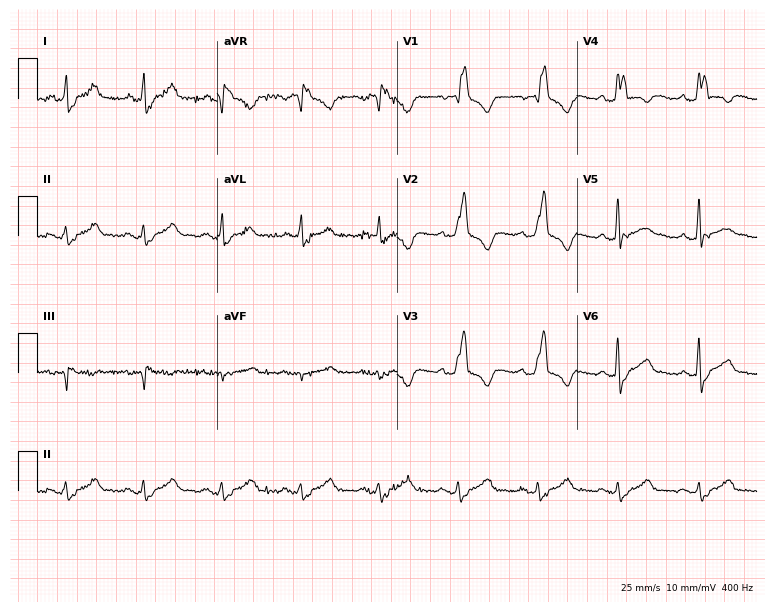
12-lead ECG from a male patient, 54 years old. Findings include right bundle branch block.